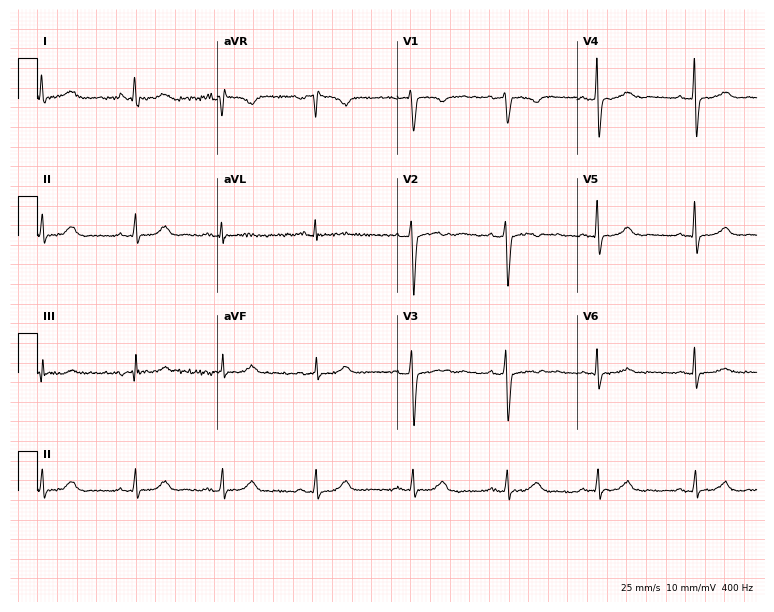
Resting 12-lead electrocardiogram (7.3-second recording at 400 Hz). Patient: a woman, 38 years old. None of these six findings is recorded: first-degree AV block, right bundle branch block, left bundle branch block, sinus bradycardia, atrial fibrillation, sinus tachycardia.